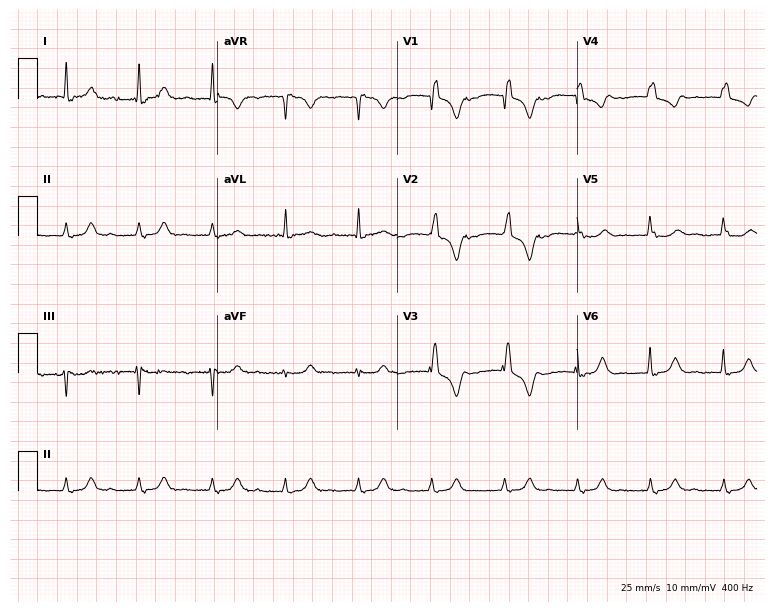
Electrocardiogram (7.3-second recording at 400 Hz), a 74-year-old woman. Interpretation includes first-degree AV block.